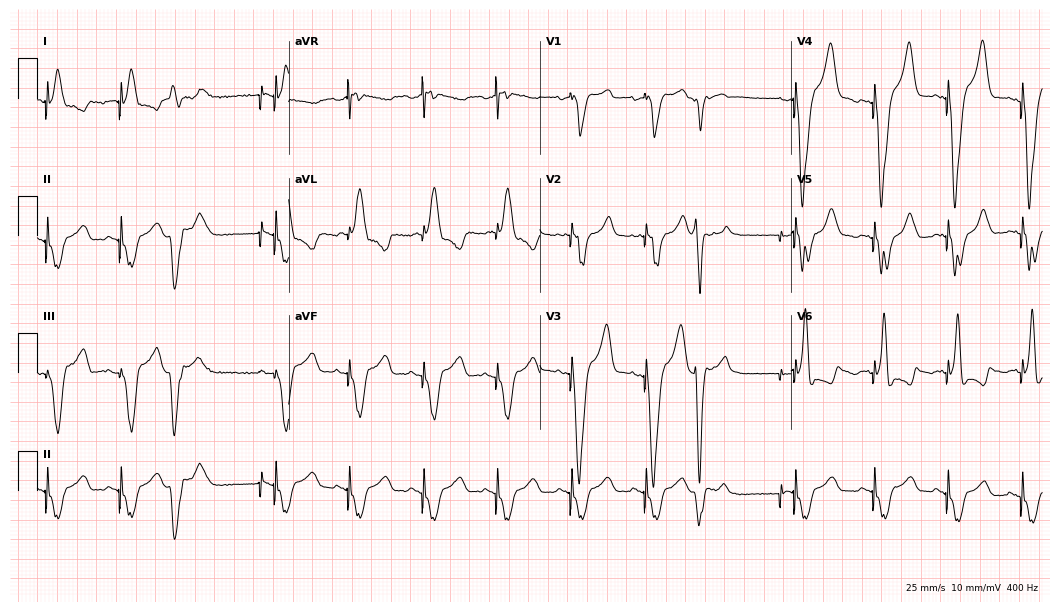
Resting 12-lead electrocardiogram. Patient: an 80-year-old female. None of these six findings is recorded: first-degree AV block, right bundle branch block, left bundle branch block, sinus bradycardia, atrial fibrillation, sinus tachycardia. Only these six findings were labelled.